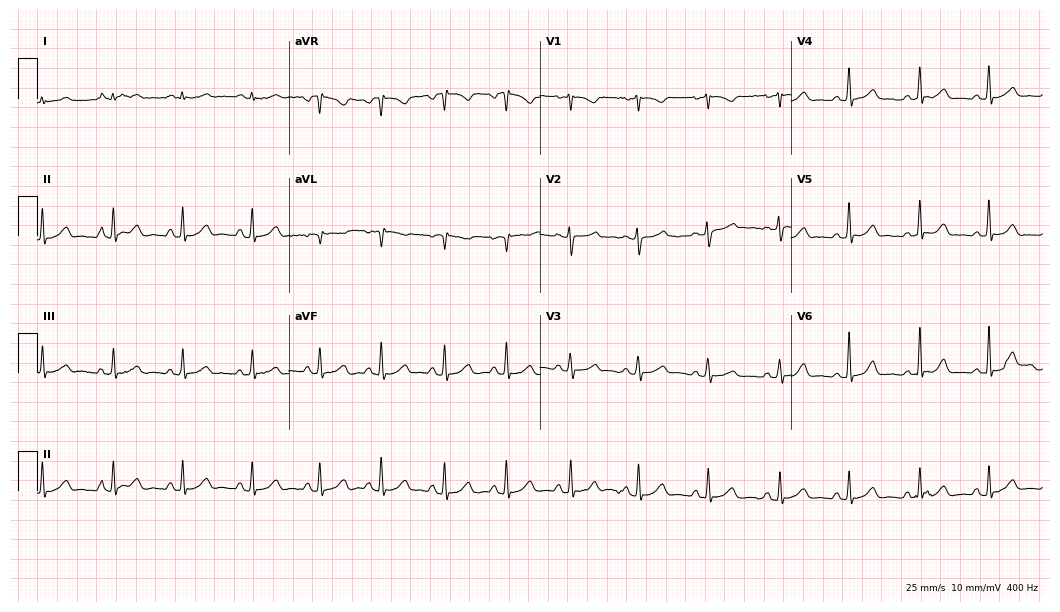
Standard 12-lead ECG recorded from a woman, 26 years old (10.2-second recording at 400 Hz). Read as a normal ECG.